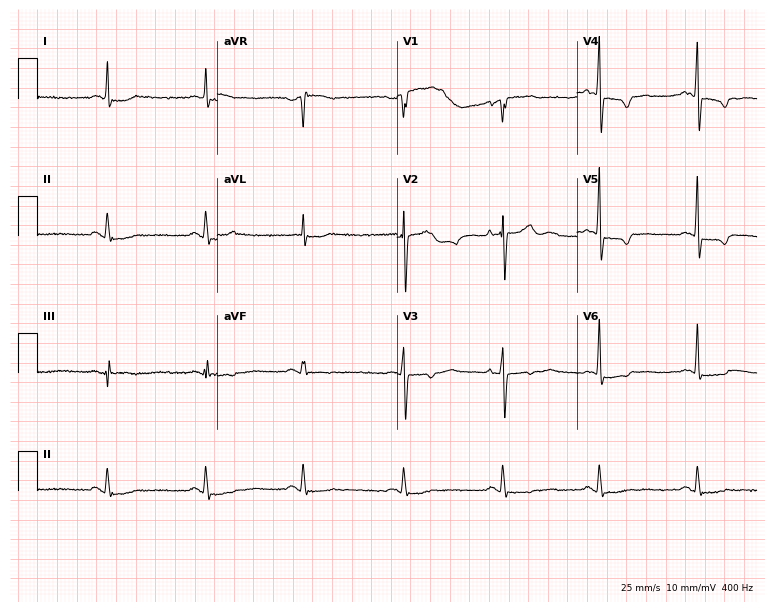
Resting 12-lead electrocardiogram. Patient: a 77-year-old male. None of these six findings is recorded: first-degree AV block, right bundle branch block, left bundle branch block, sinus bradycardia, atrial fibrillation, sinus tachycardia.